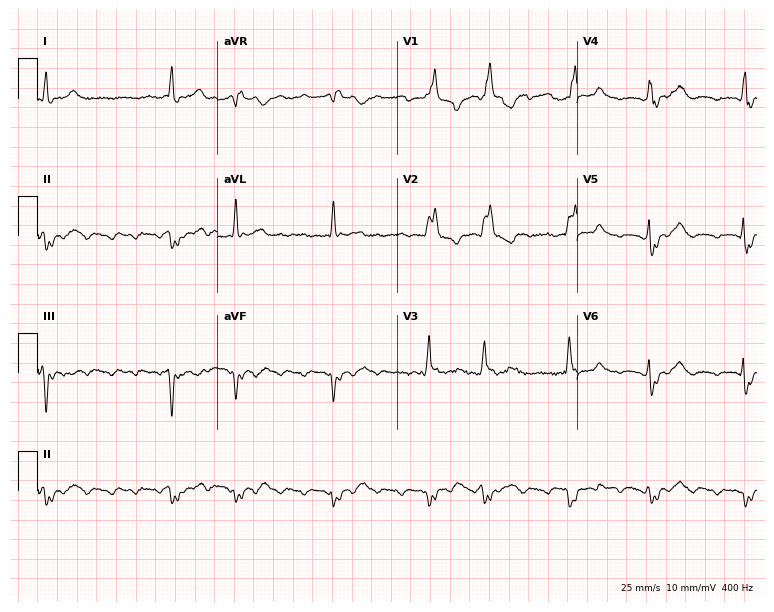
12-lead ECG from a male patient, 75 years old. Findings include right bundle branch block (RBBB), atrial fibrillation (AF).